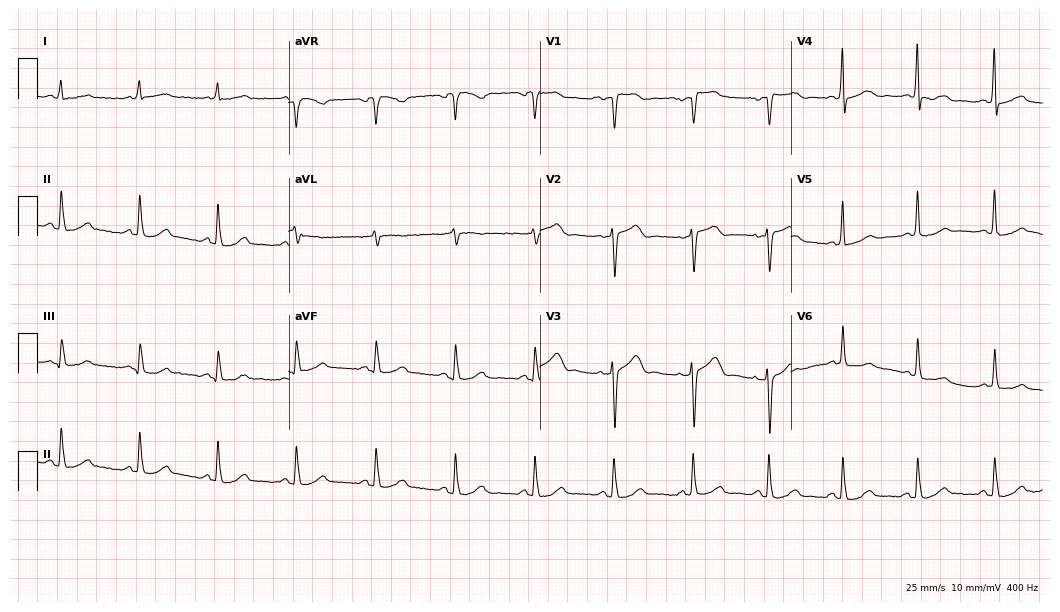
Resting 12-lead electrocardiogram (10.2-second recording at 400 Hz). Patient: an 81-year-old female. Read as a normal ECG.